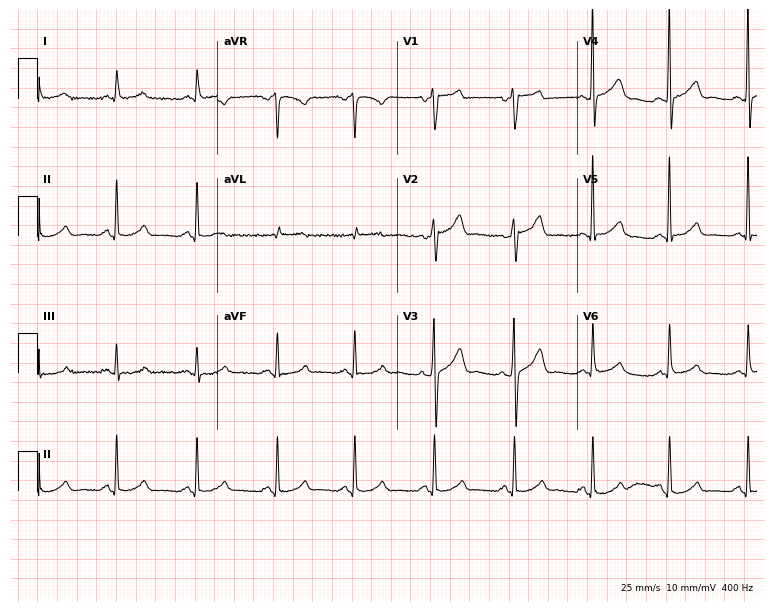
12-lead ECG from a female patient, 81 years old. Screened for six findings — first-degree AV block, right bundle branch block (RBBB), left bundle branch block (LBBB), sinus bradycardia, atrial fibrillation (AF), sinus tachycardia — none is recorded.